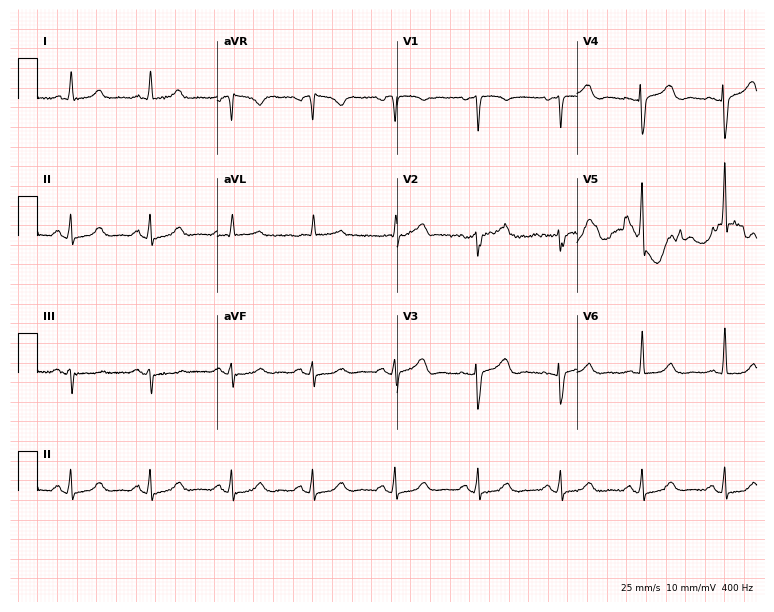
Resting 12-lead electrocardiogram (7.3-second recording at 400 Hz). Patient: a female, 65 years old. Read as a normal ECG.